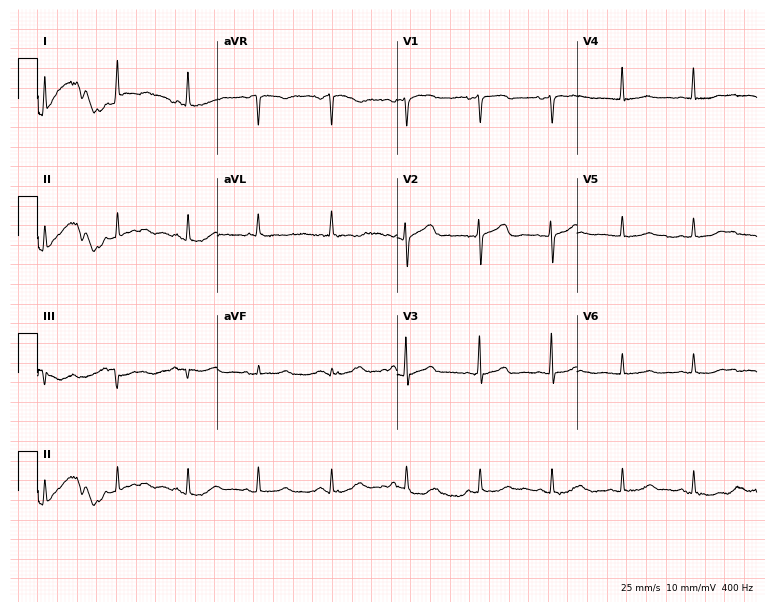
ECG (7.3-second recording at 400 Hz) — a 62-year-old female. Labelled as a normal ECG.